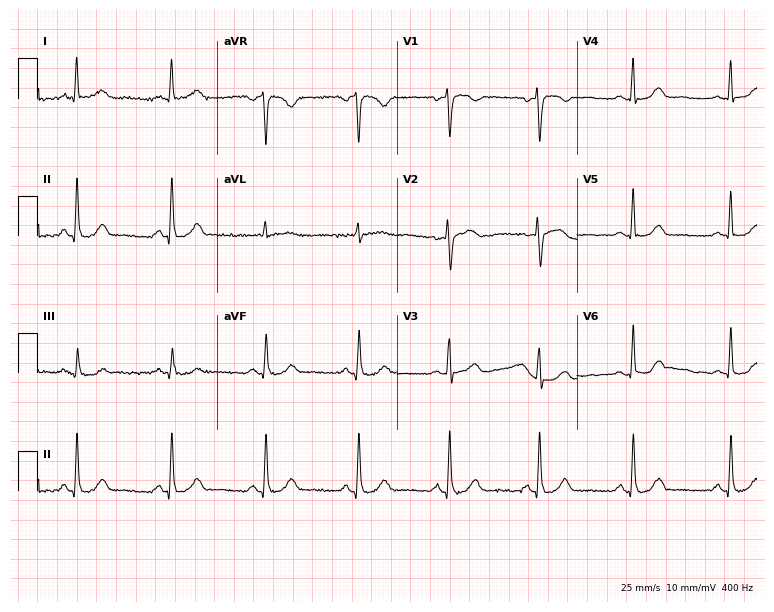
ECG — a female, 58 years old. Labelled as a normal ECG.